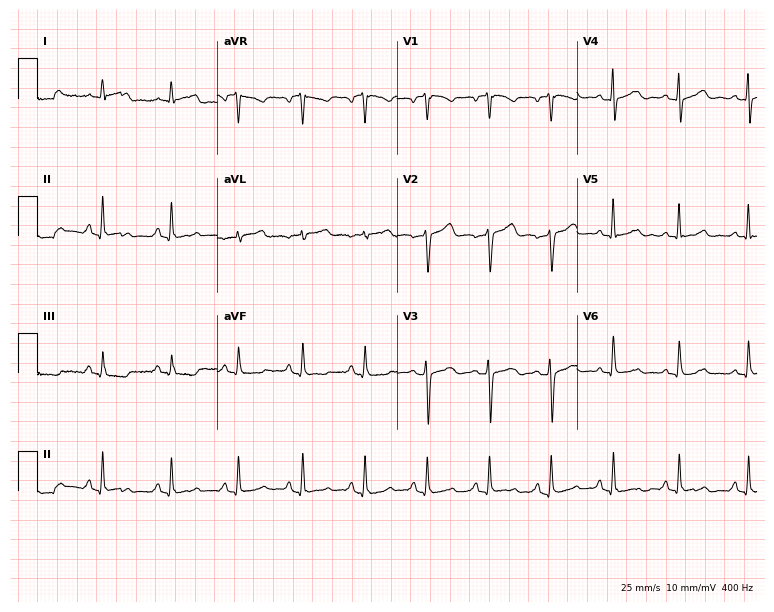
12-lead ECG from a female, 55 years old (7.3-second recording at 400 Hz). Recorded interpretation: within normal limits.